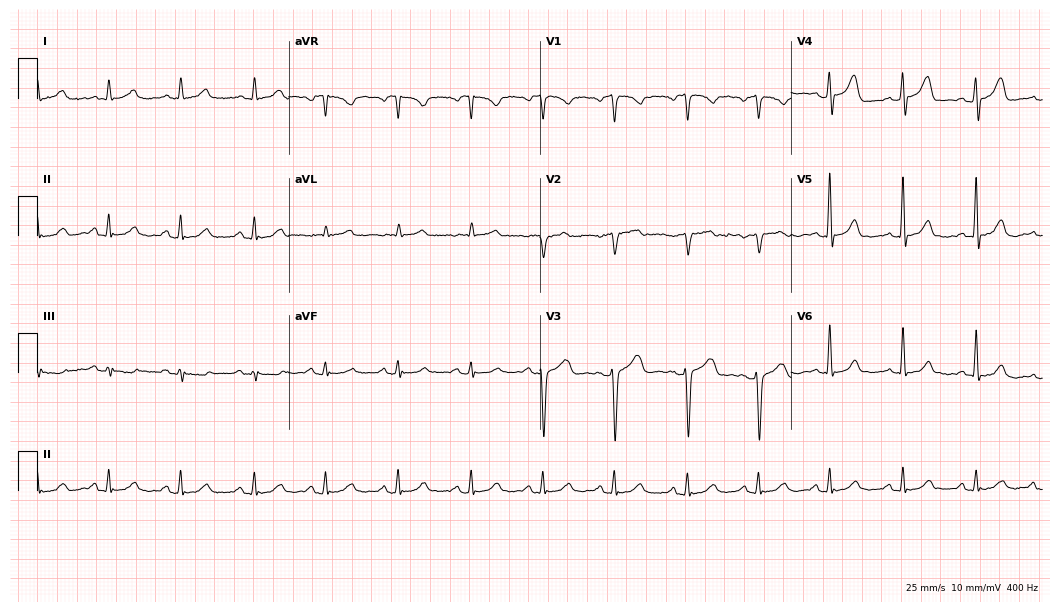
12-lead ECG from a 40-year-old female patient (10.2-second recording at 400 Hz). Recorded interpretation: within normal limits.